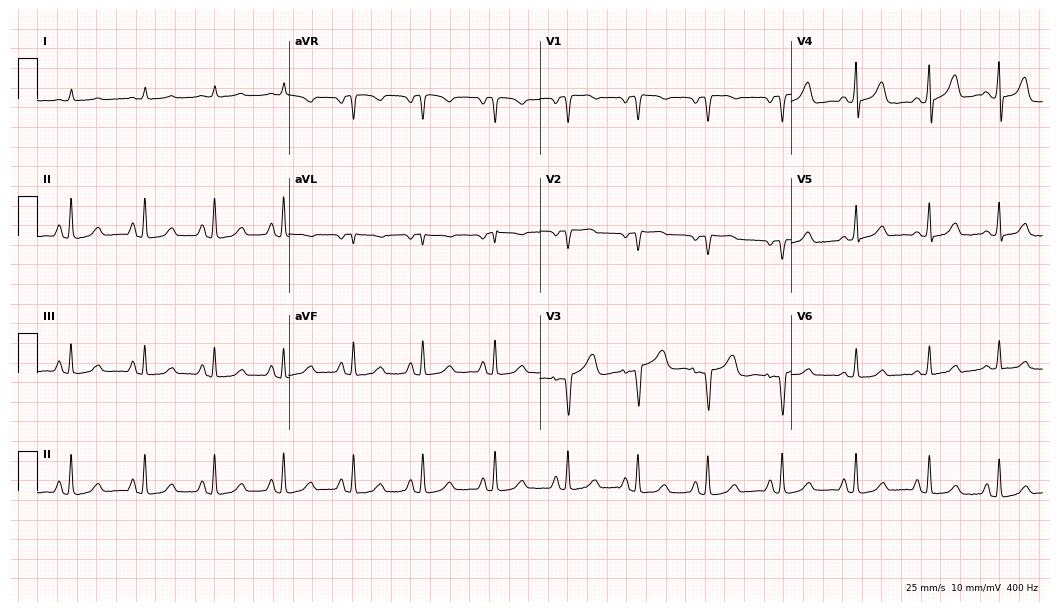
Standard 12-lead ECG recorded from a 67-year-old female. None of these six findings is recorded: first-degree AV block, right bundle branch block, left bundle branch block, sinus bradycardia, atrial fibrillation, sinus tachycardia.